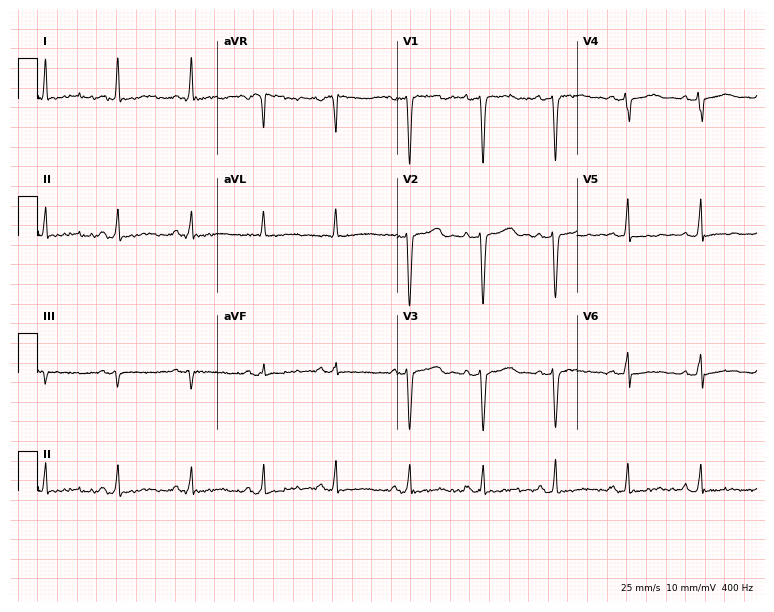
ECG (7.3-second recording at 400 Hz) — a woman, 60 years old. Screened for six findings — first-degree AV block, right bundle branch block, left bundle branch block, sinus bradycardia, atrial fibrillation, sinus tachycardia — none is recorded. Findings outside these six are not listed.